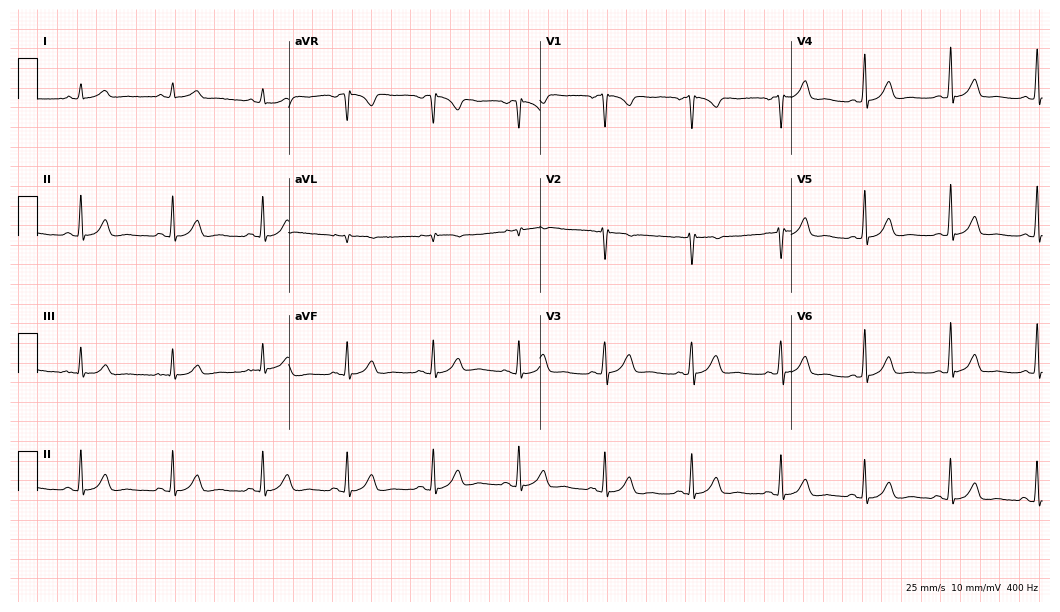
Standard 12-lead ECG recorded from a 29-year-old female patient (10.2-second recording at 400 Hz). Read as a normal ECG.